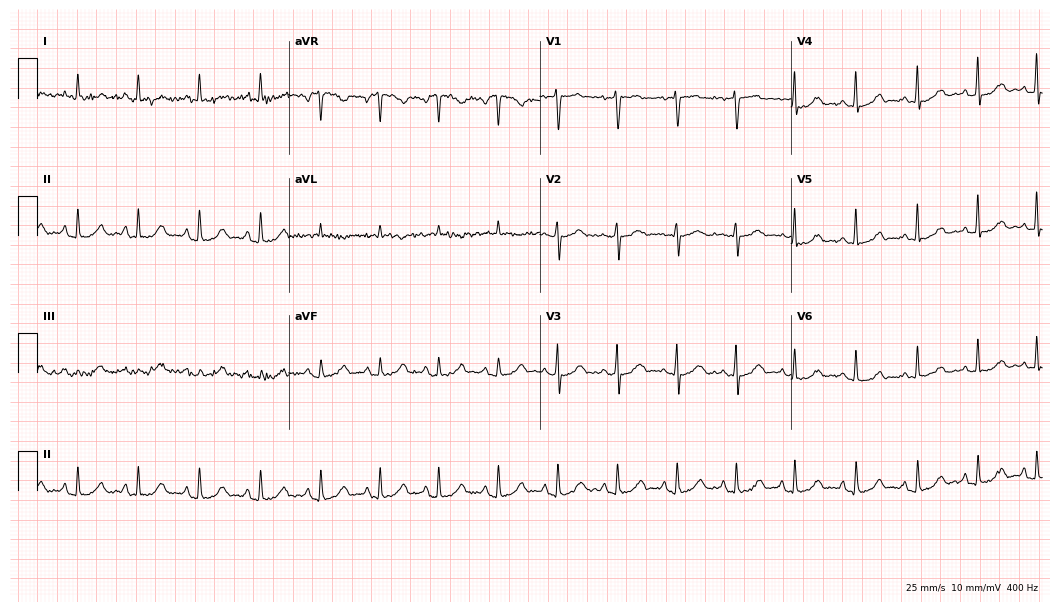
Electrocardiogram, a 50-year-old woman. Overall reading on record: normal ECG.